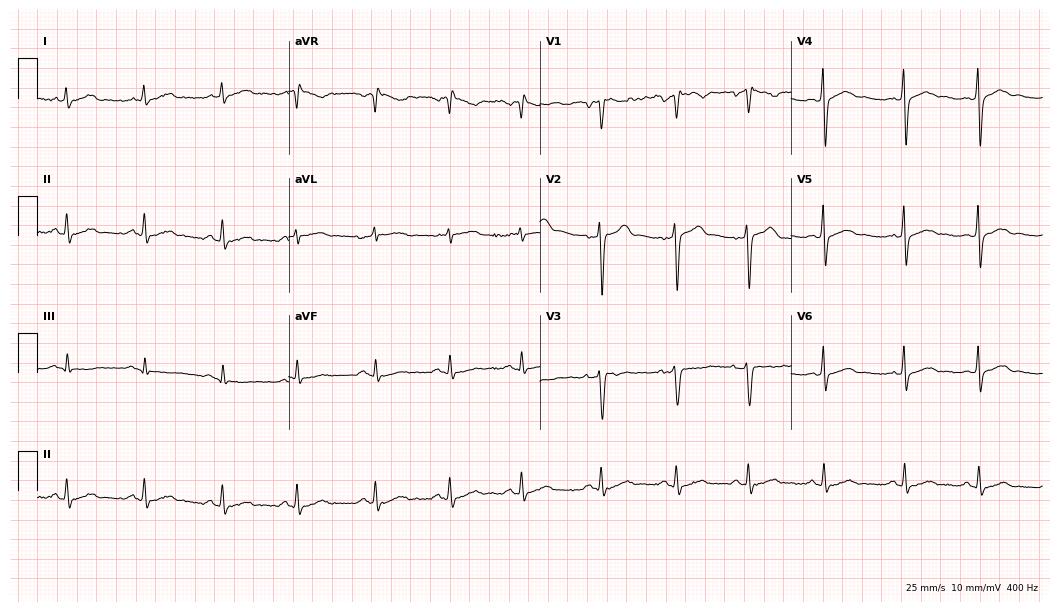
12-lead ECG from a male, 59 years old (10.2-second recording at 400 Hz). Recorded interpretation: within normal limits.